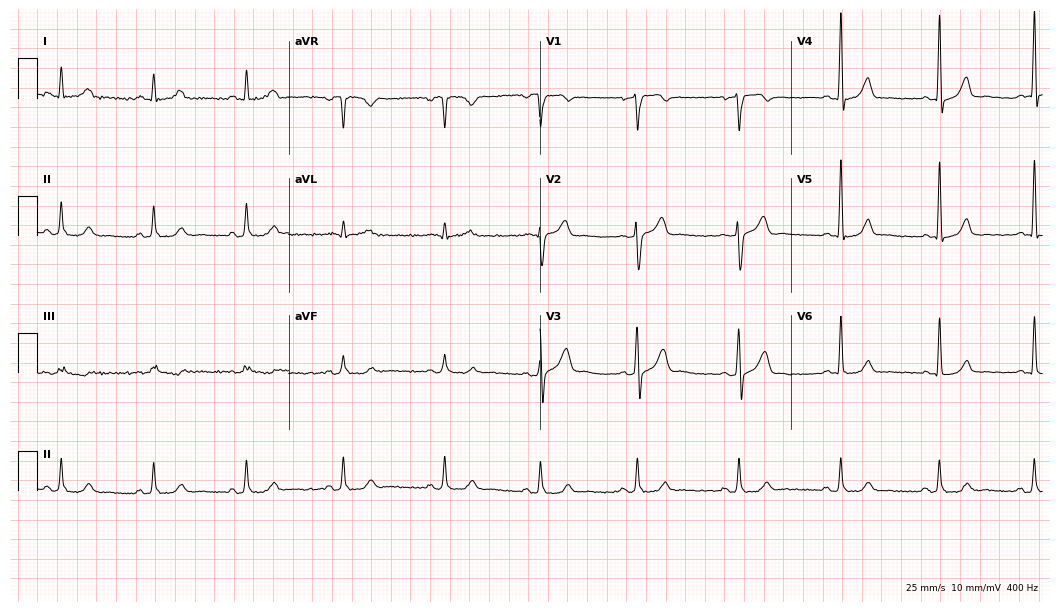
ECG — a 43-year-old male patient. Labelled as a normal ECG.